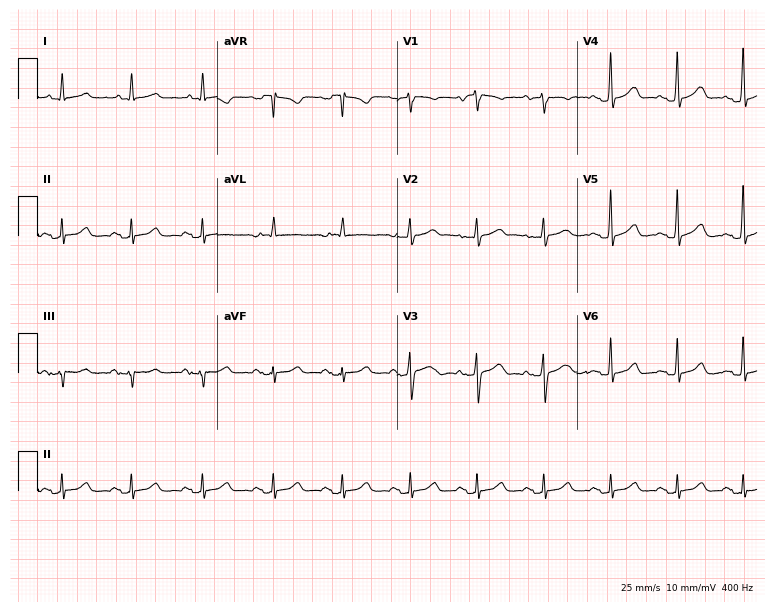
12-lead ECG from a 72-year-old male (7.3-second recording at 400 Hz). Recorded interpretation: within normal limits.